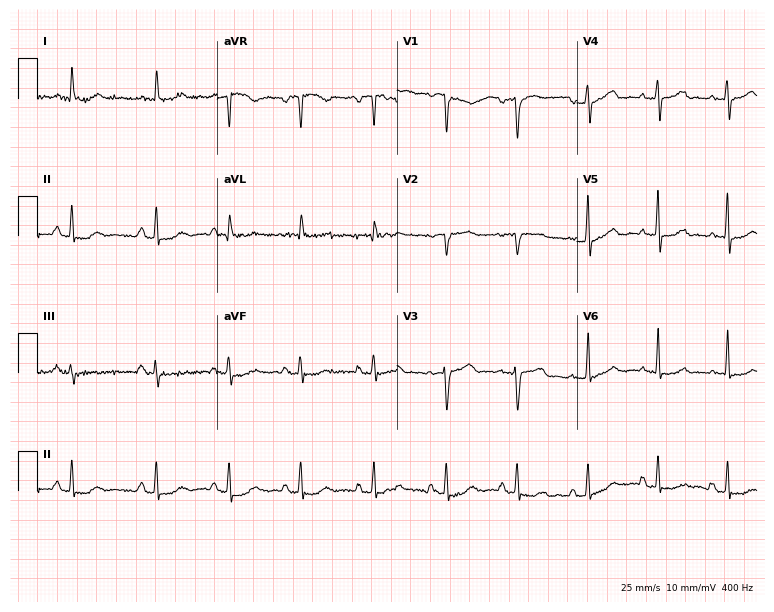
ECG — a female, 61 years old. Screened for six findings — first-degree AV block, right bundle branch block, left bundle branch block, sinus bradycardia, atrial fibrillation, sinus tachycardia — none is recorded.